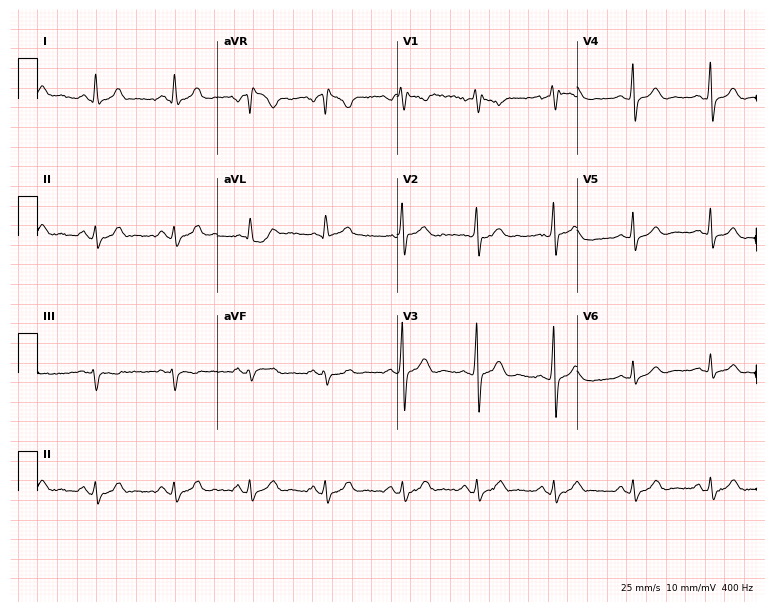
12-lead ECG (7.3-second recording at 400 Hz) from a 41-year-old man. Screened for six findings — first-degree AV block, right bundle branch block (RBBB), left bundle branch block (LBBB), sinus bradycardia, atrial fibrillation (AF), sinus tachycardia — none is recorded. Only these six findings were labelled.